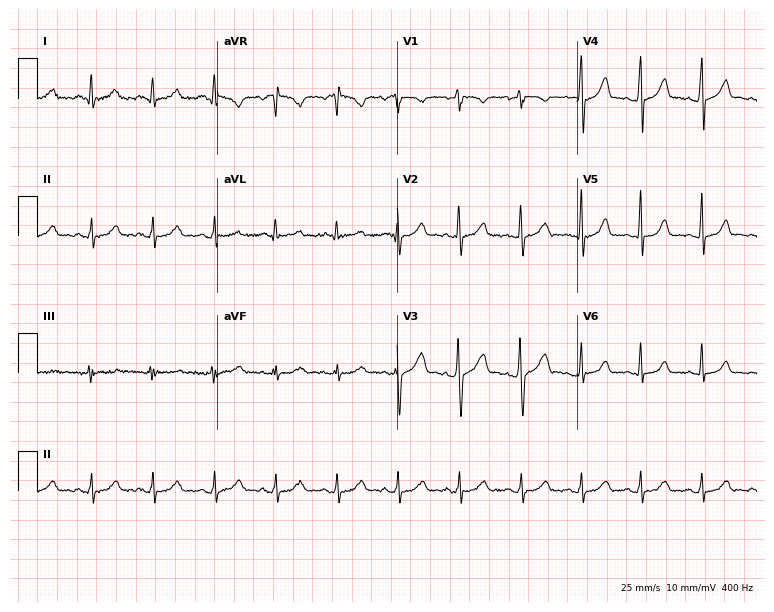
12-lead ECG from a 21-year-old female. Recorded interpretation: within normal limits.